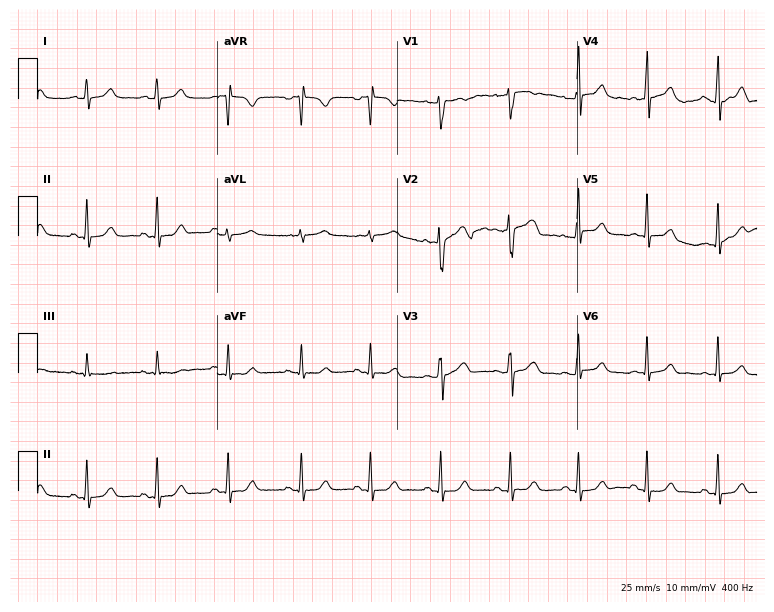
Resting 12-lead electrocardiogram (7.3-second recording at 400 Hz). Patient: a 26-year-old female. Read as a normal ECG.